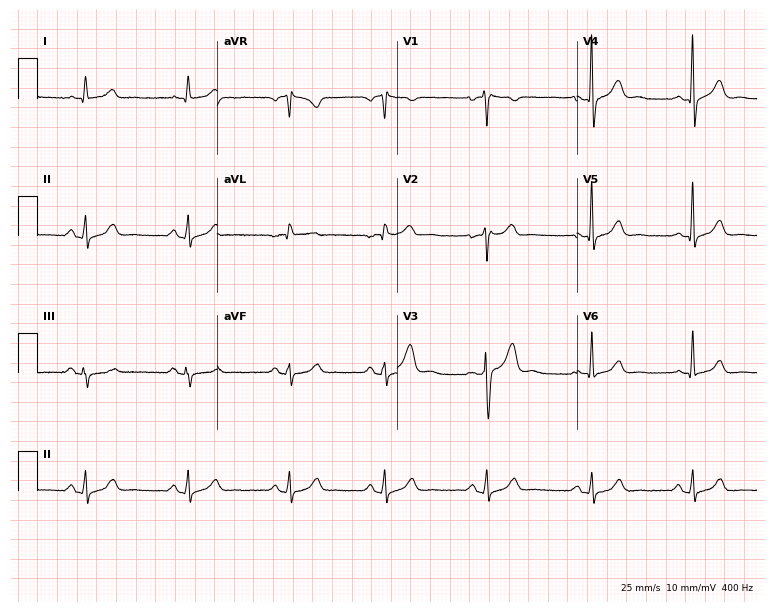
Electrocardiogram (7.3-second recording at 400 Hz), a 42-year-old man. Overall reading on record: normal ECG.